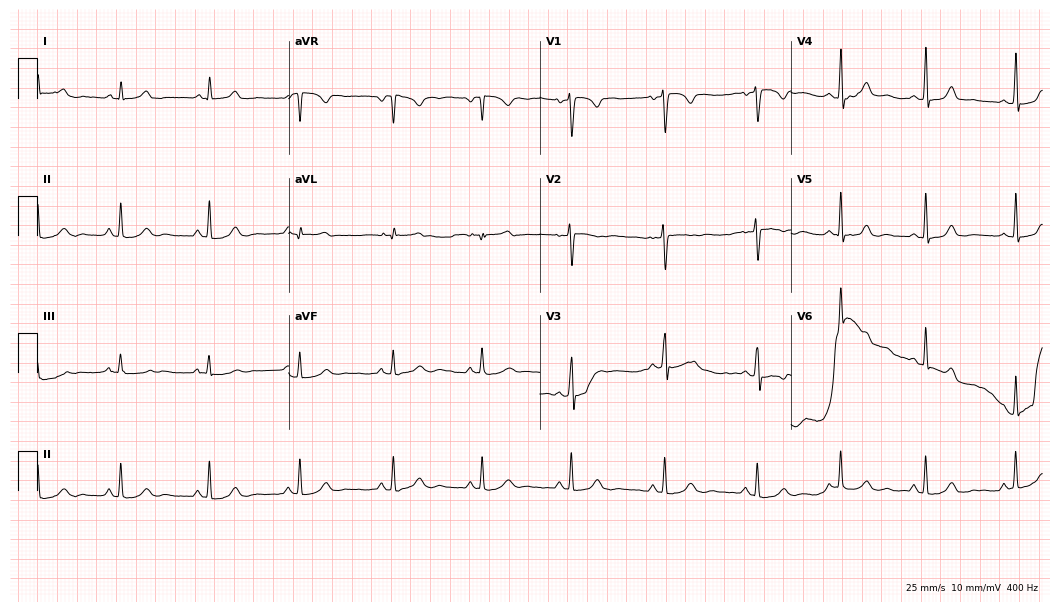
Standard 12-lead ECG recorded from a 33-year-old female patient. Read as a normal ECG.